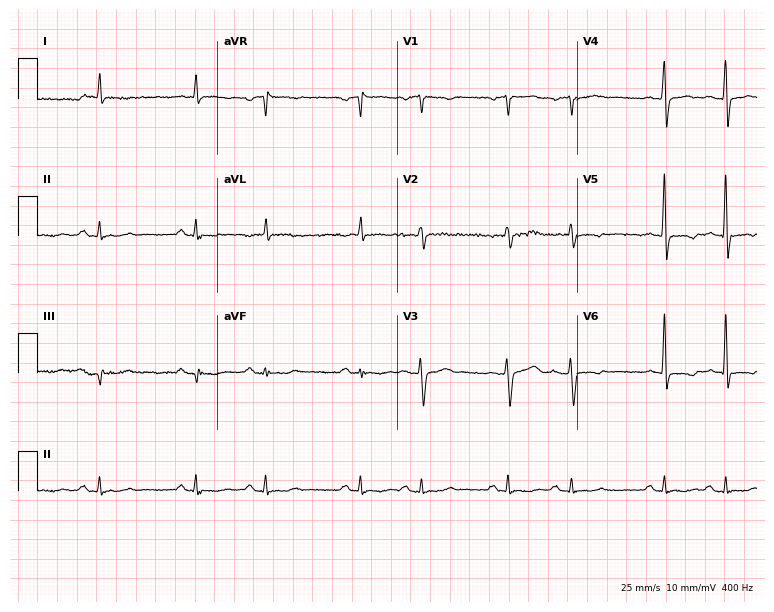
12-lead ECG (7.3-second recording at 400 Hz) from a 78-year-old man. Screened for six findings — first-degree AV block, right bundle branch block, left bundle branch block, sinus bradycardia, atrial fibrillation, sinus tachycardia — none is recorded. Only these six findings were labelled.